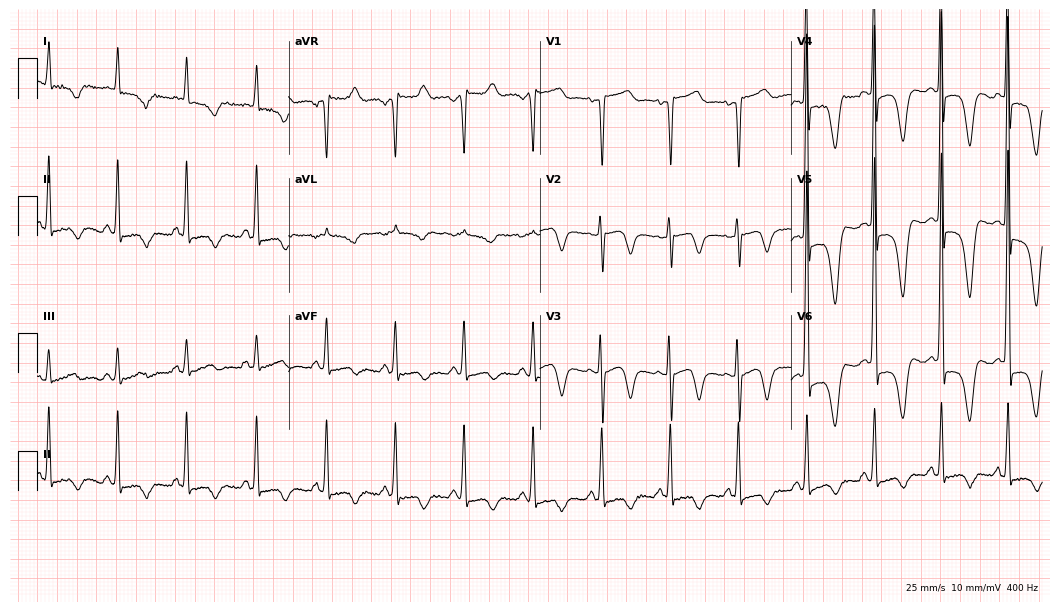
ECG (10.2-second recording at 400 Hz) — a female, 79 years old. Screened for six findings — first-degree AV block, right bundle branch block, left bundle branch block, sinus bradycardia, atrial fibrillation, sinus tachycardia — none is recorded. Findings outside these six are not listed.